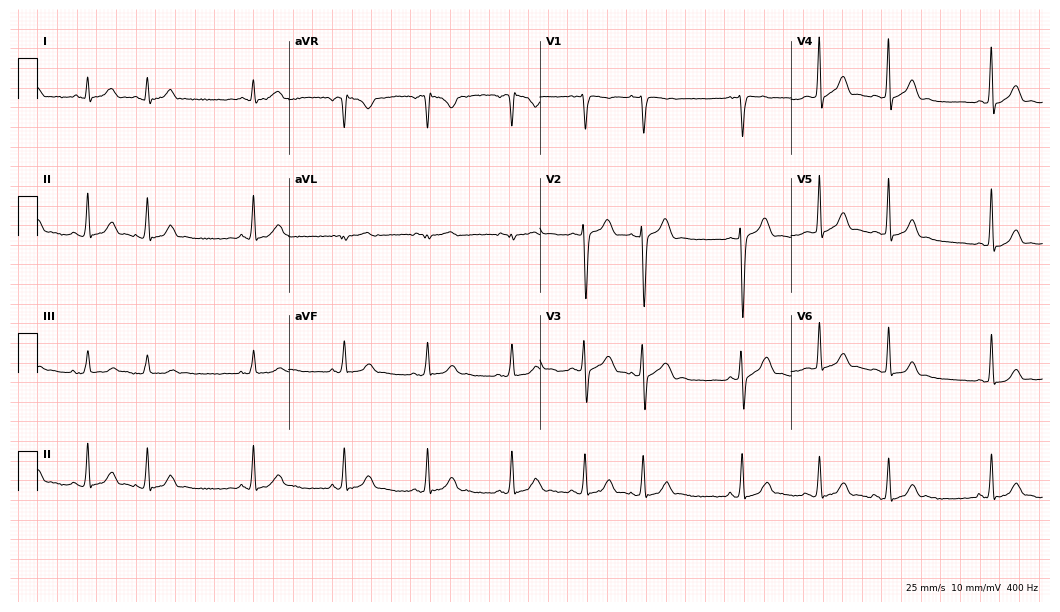
12-lead ECG from a male patient, 17 years old. Recorded interpretation: within normal limits.